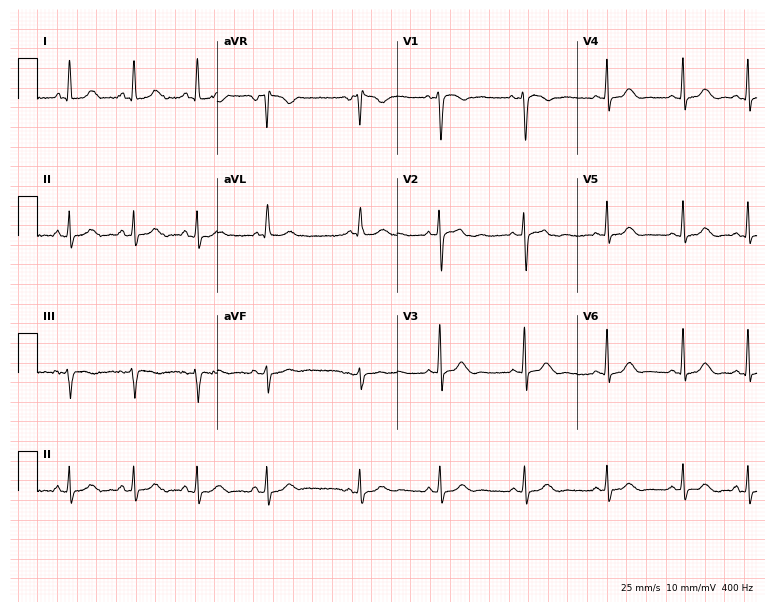
12-lead ECG from a female, 23 years old. No first-degree AV block, right bundle branch block, left bundle branch block, sinus bradycardia, atrial fibrillation or sinus tachycardia recorded for this tracing. Other findings, if any, are not listed.